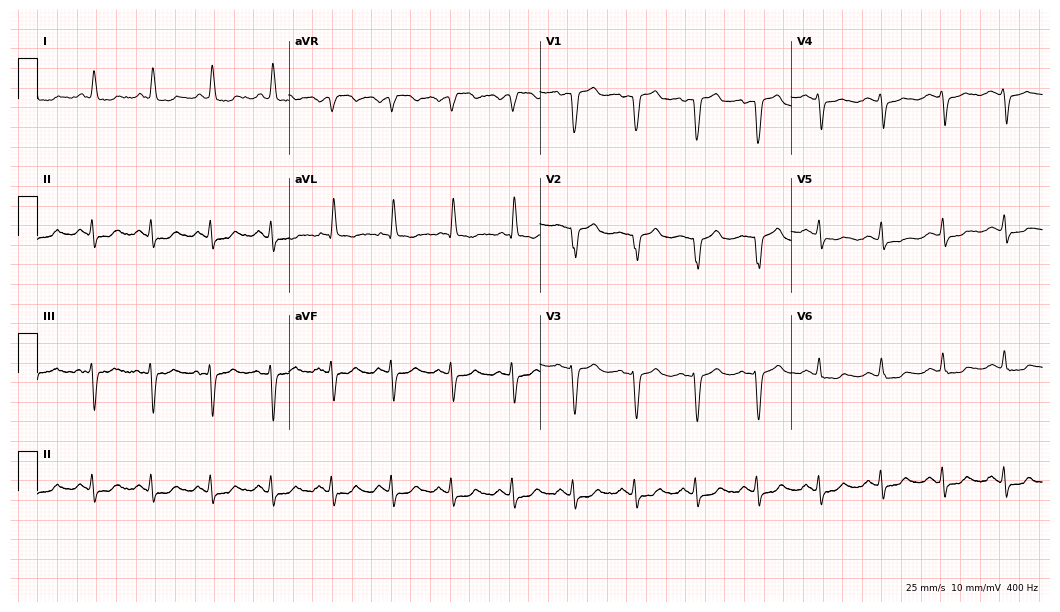
12-lead ECG from a female, 74 years old. Screened for six findings — first-degree AV block, right bundle branch block (RBBB), left bundle branch block (LBBB), sinus bradycardia, atrial fibrillation (AF), sinus tachycardia — none is recorded. Other findings, if any, are not listed.